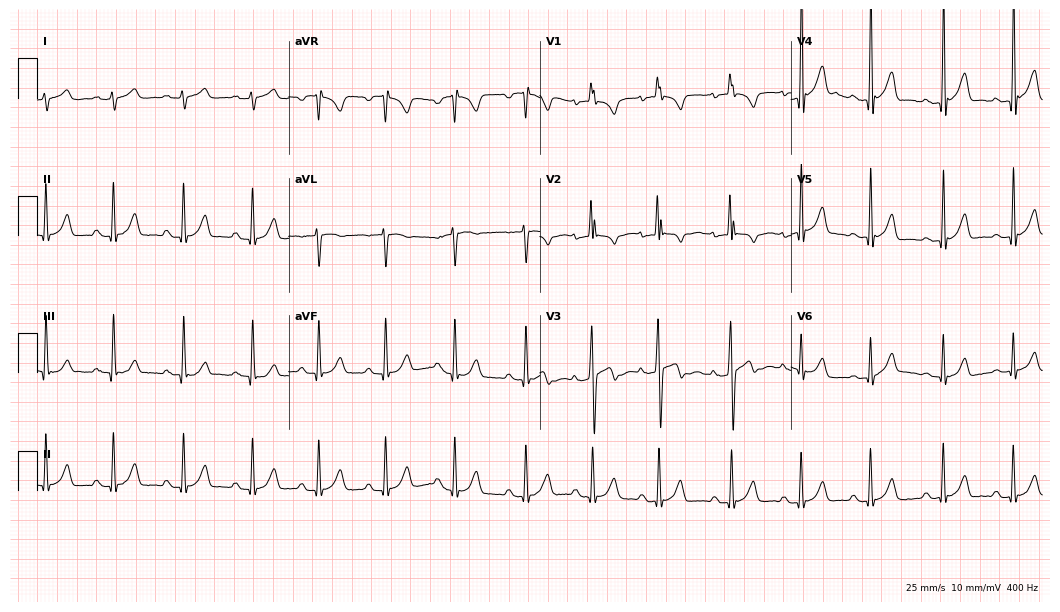
Resting 12-lead electrocardiogram (10.2-second recording at 400 Hz). Patient: a male, 17 years old. None of these six findings is recorded: first-degree AV block, right bundle branch block, left bundle branch block, sinus bradycardia, atrial fibrillation, sinus tachycardia.